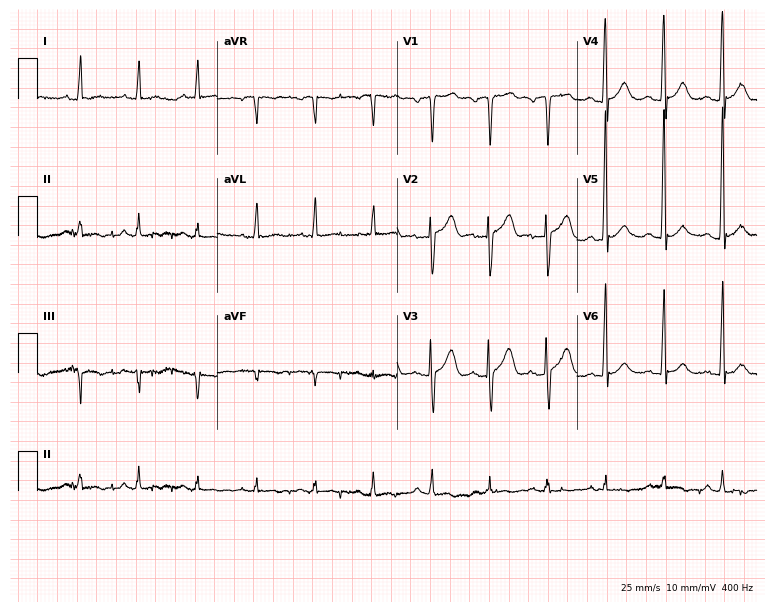
12-lead ECG from a 69-year-old male. No first-degree AV block, right bundle branch block, left bundle branch block, sinus bradycardia, atrial fibrillation or sinus tachycardia recorded for this tracing. Other findings, if any, are not listed.